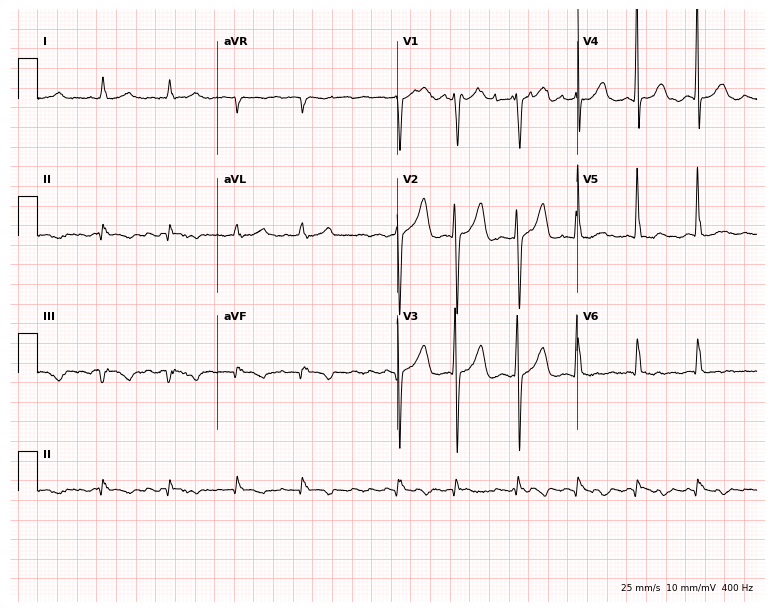
Electrocardiogram (7.3-second recording at 400 Hz), a male patient, 57 years old. Interpretation includes atrial fibrillation.